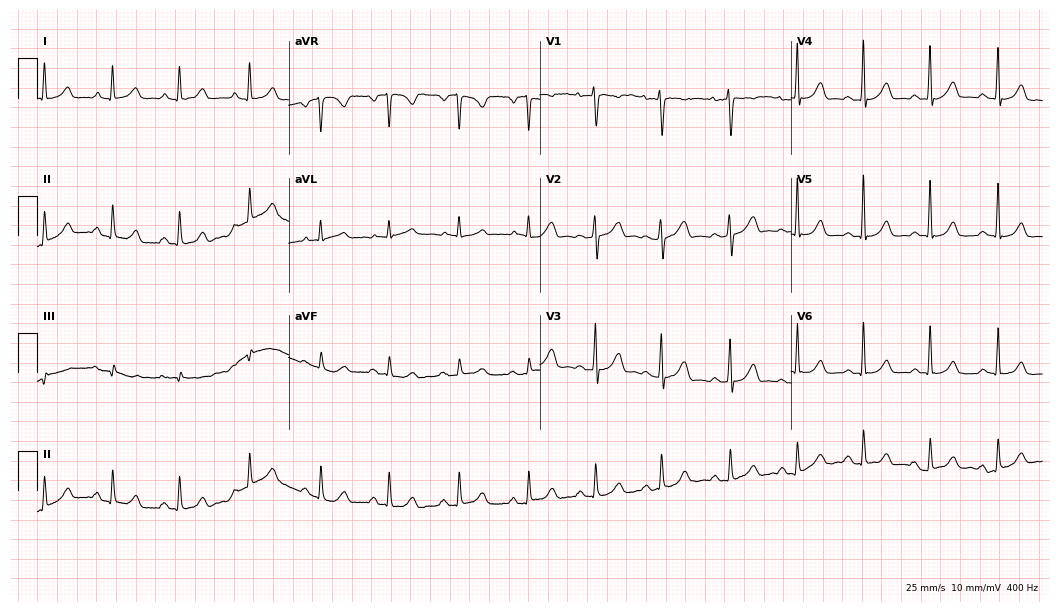
12-lead ECG from a 34-year-old woman (10.2-second recording at 400 Hz). Recorded interpretation: within normal limits.